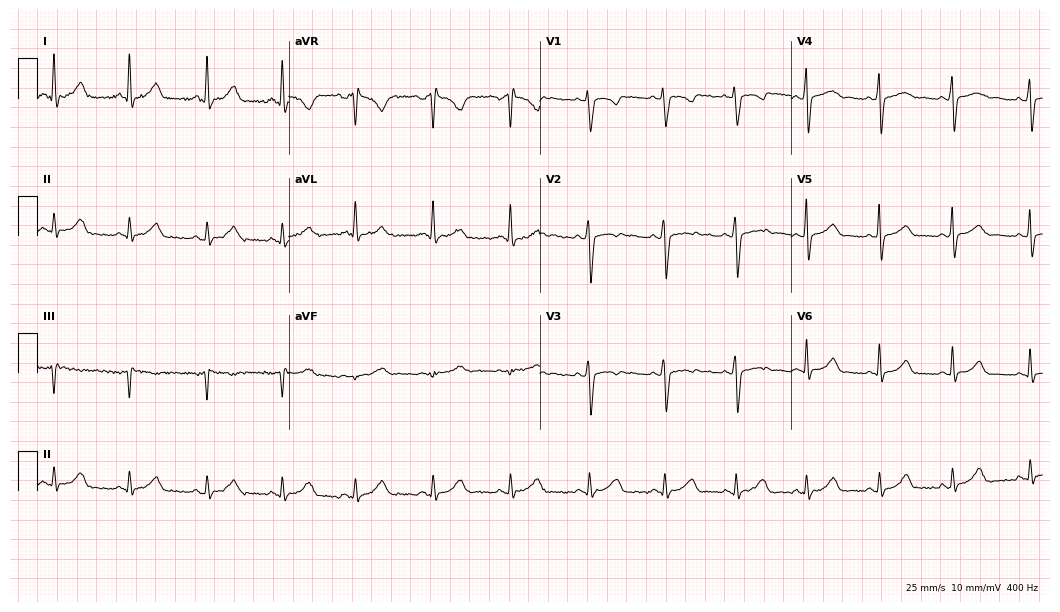
12-lead ECG (10.2-second recording at 400 Hz) from a 37-year-old female. Screened for six findings — first-degree AV block, right bundle branch block, left bundle branch block, sinus bradycardia, atrial fibrillation, sinus tachycardia — none is recorded.